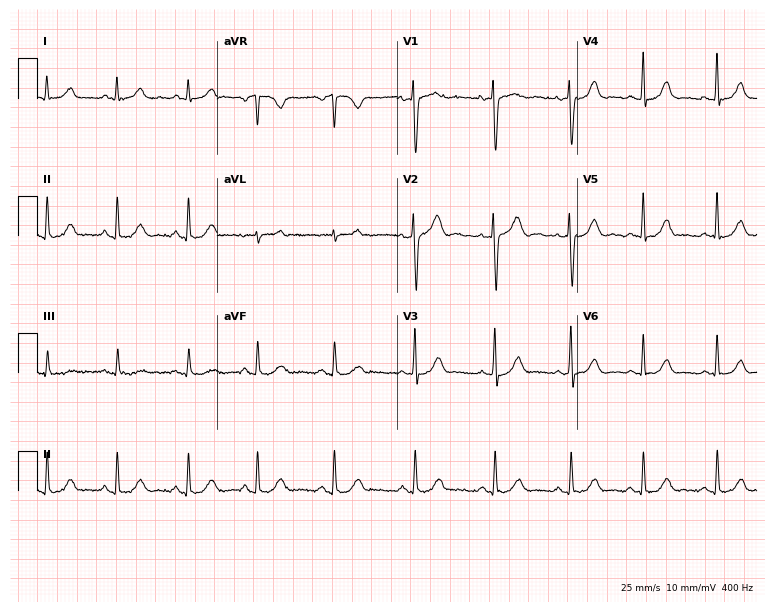
Standard 12-lead ECG recorded from a woman, 36 years old. Read as a normal ECG.